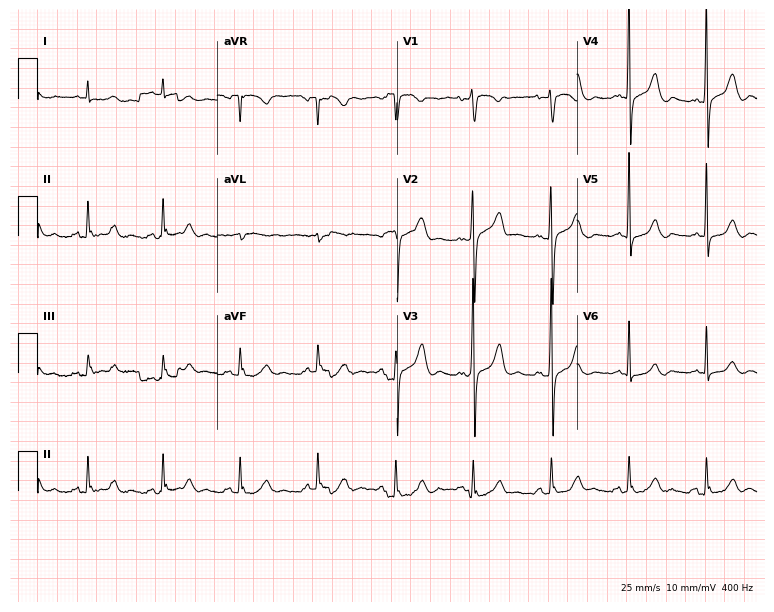
12-lead ECG from a 60-year-old male. Labelled as a normal ECG.